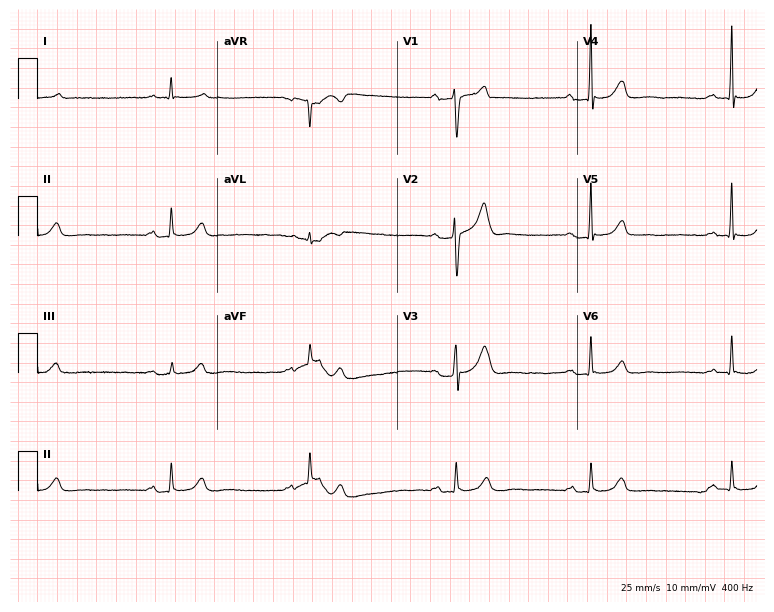
Resting 12-lead electrocardiogram (7.3-second recording at 400 Hz). Patient: a 62-year-old male. None of these six findings is recorded: first-degree AV block, right bundle branch block, left bundle branch block, sinus bradycardia, atrial fibrillation, sinus tachycardia. Only these six findings were labelled.